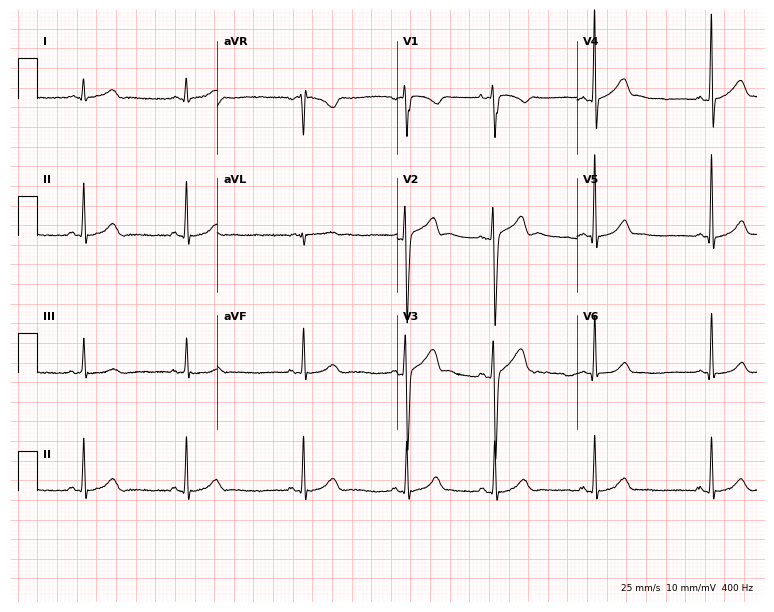
Standard 12-lead ECG recorded from a 17-year-old male patient (7.3-second recording at 400 Hz). Read as a normal ECG.